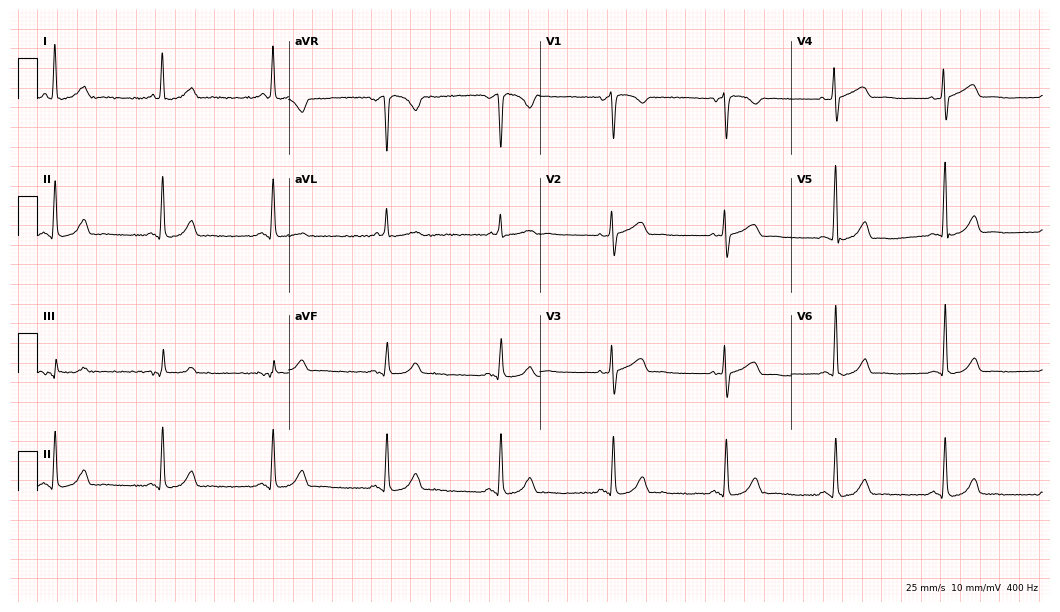
ECG — a 67-year-old woman. Labelled as a normal ECG.